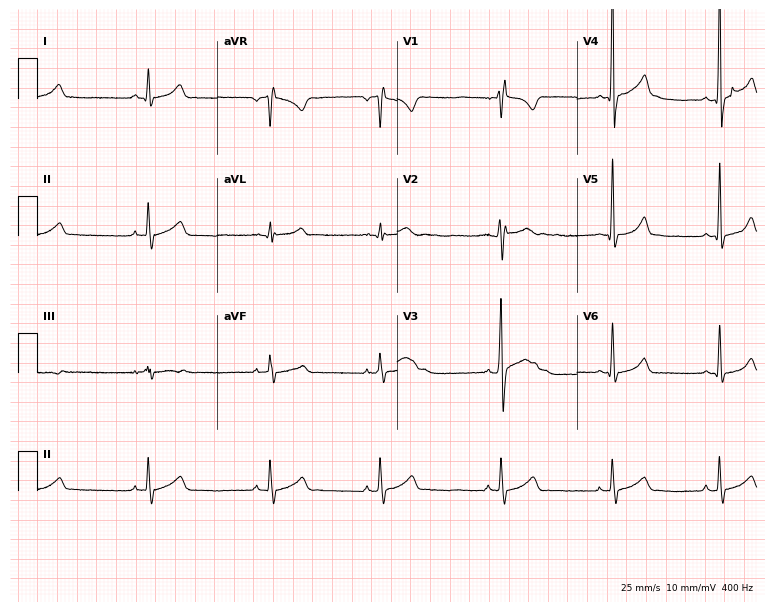
12-lead ECG from a male patient, 20 years old. Screened for six findings — first-degree AV block, right bundle branch block, left bundle branch block, sinus bradycardia, atrial fibrillation, sinus tachycardia — none is recorded.